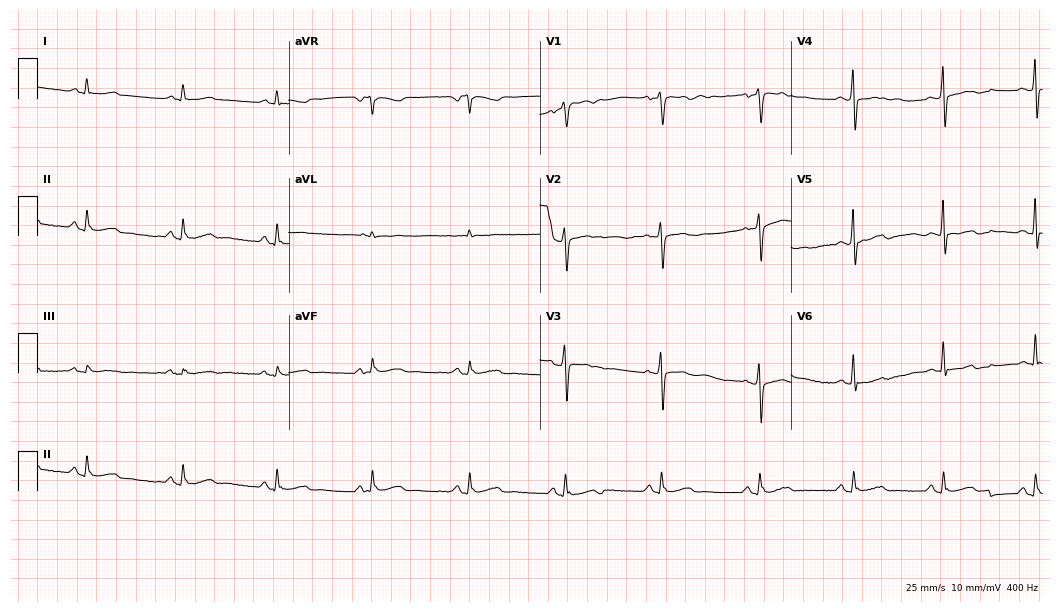
ECG — a 52-year-old male. Screened for six findings — first-degree AV block, right bundle branch block (RBBB), left bundle branch block (LBBB), sinus bradycardia, atrial fibrillation (AF), sinus tachycardia — none is recorded. Other findings, if any, are not listed.